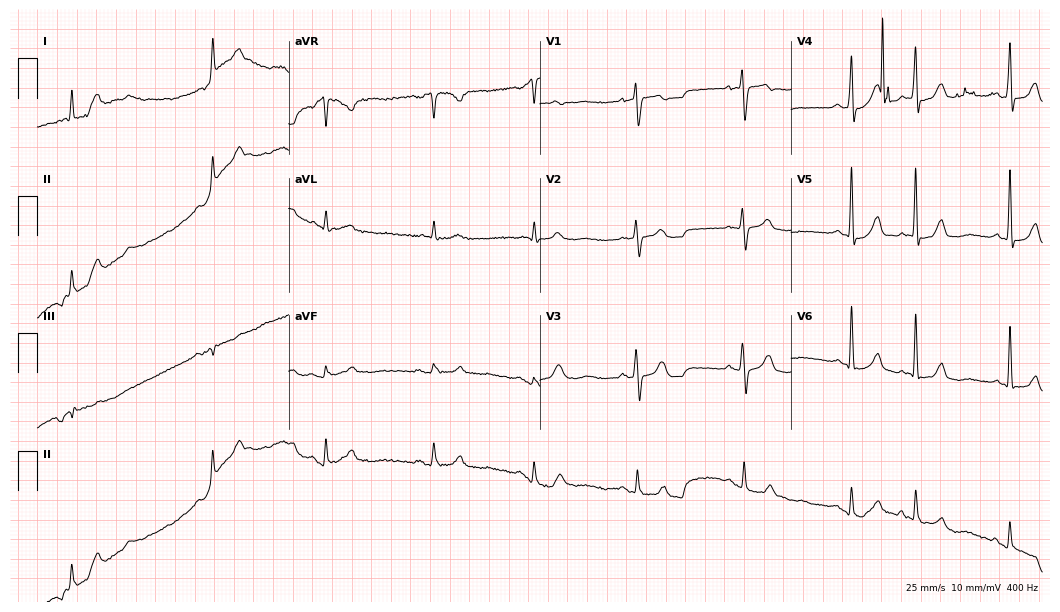
ECG (10.2-second recording at 400 Hz) — a 72-year-old female patient. Screened for six findings — first-degree AV block, right bundle branch block (RBBB), left bundle branch block (LBBB), sinus bradycardia, atrial fibrillation (AF), sinus tachycardia — none is recorded. Findings outside these six are not listed.